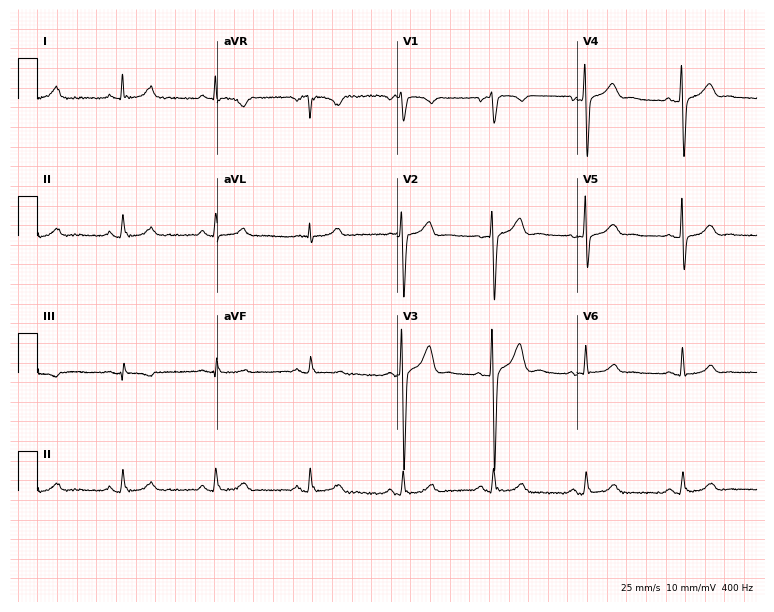
Resting 12-lead electrocardiogram. Patient: a male, 49 years old. Read as a normal ECG.